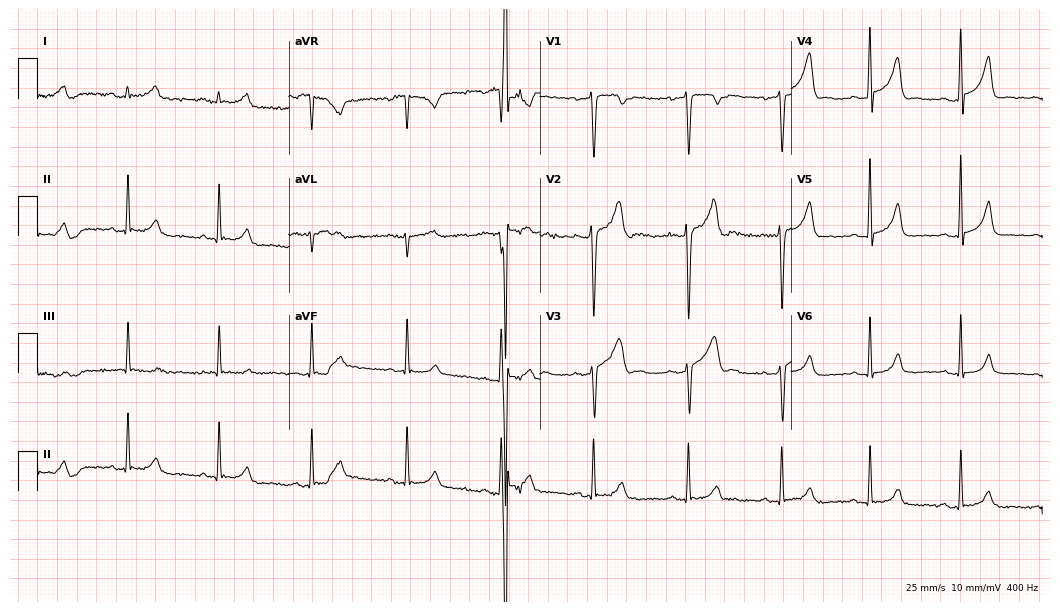
Resting 12-lead electrocardiogram (10.2-second recording at 400 Hz). Patient: a 19-year-old male. Read as a normal ECG.